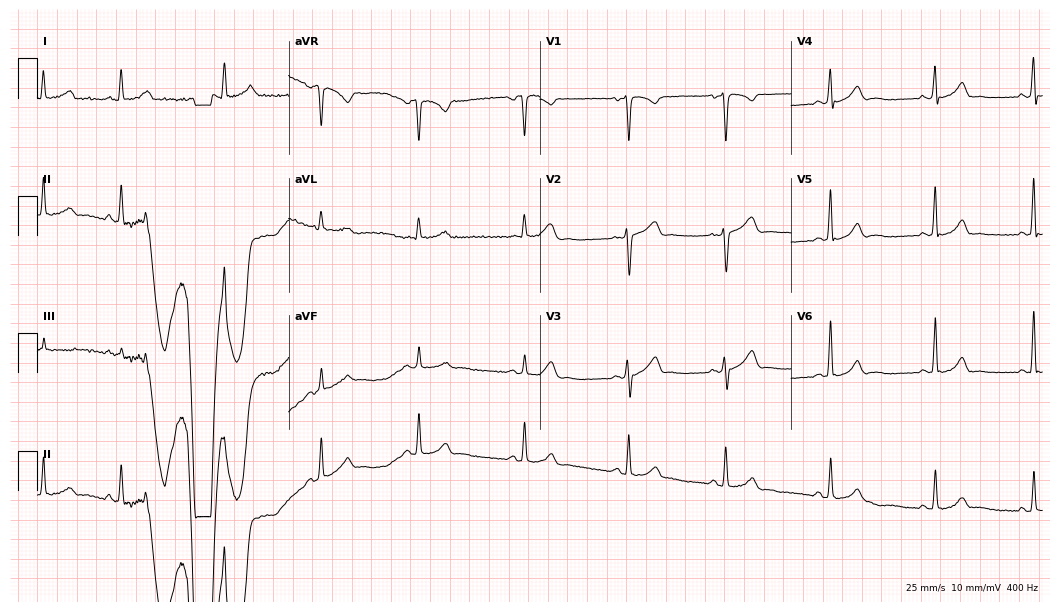
Standard 12-lead ECG recorded from an 82-year-old woman. Read as a normal ECG.